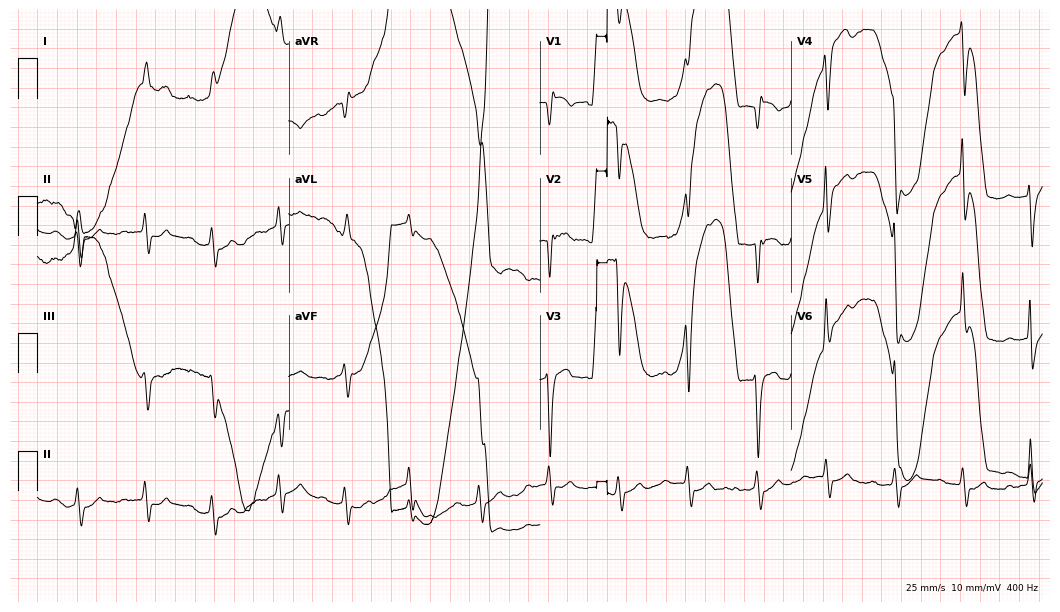
12-lead ECG from a woman, 85 years old. No first-degree AV block, right bundle branch block, left bundle branch block, sinus bradycardia, atrial fibrillation or sinus tachycardia recorded for this tracing. Findings outside these six are not listed.